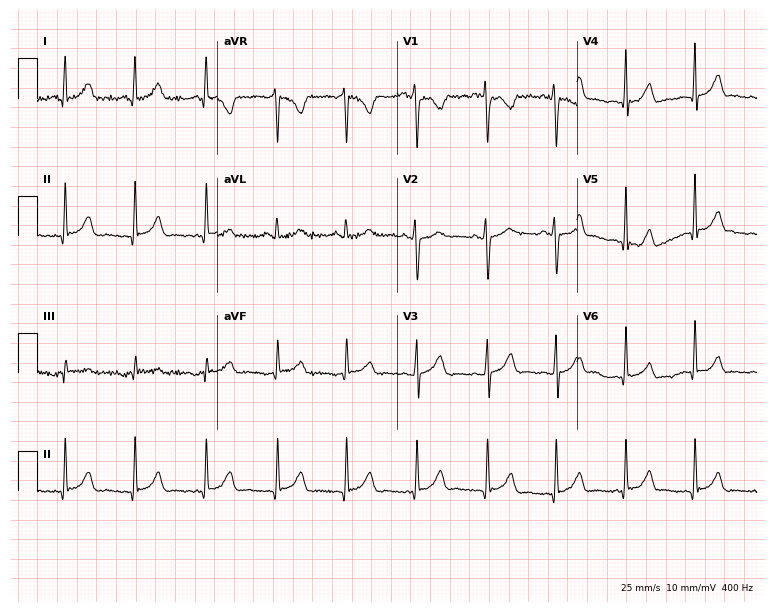
Electrocardiogram (7.3-second recording at 400 Hz), a female patient, 27 years old. Overall reading on record: normal ECG.